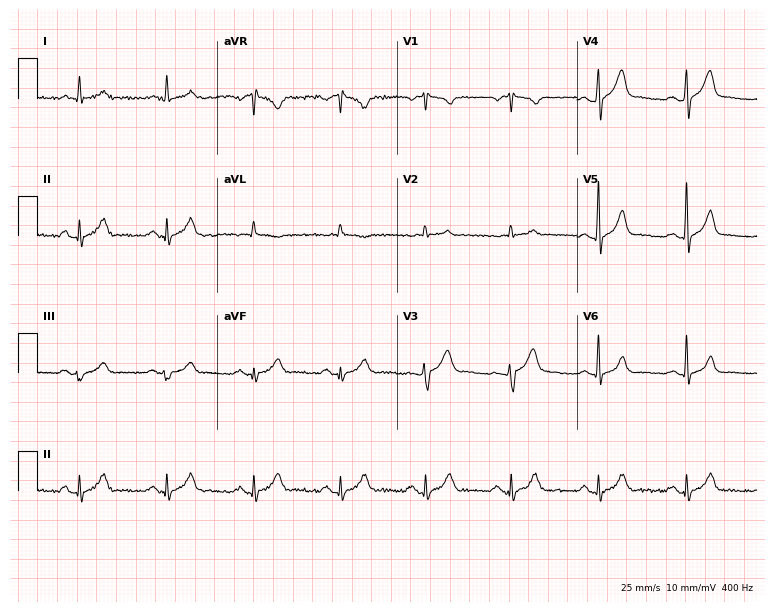
Resting 12-lead electrocardiogram. Patient: a male, 75 years old. Read as a normal ECG.